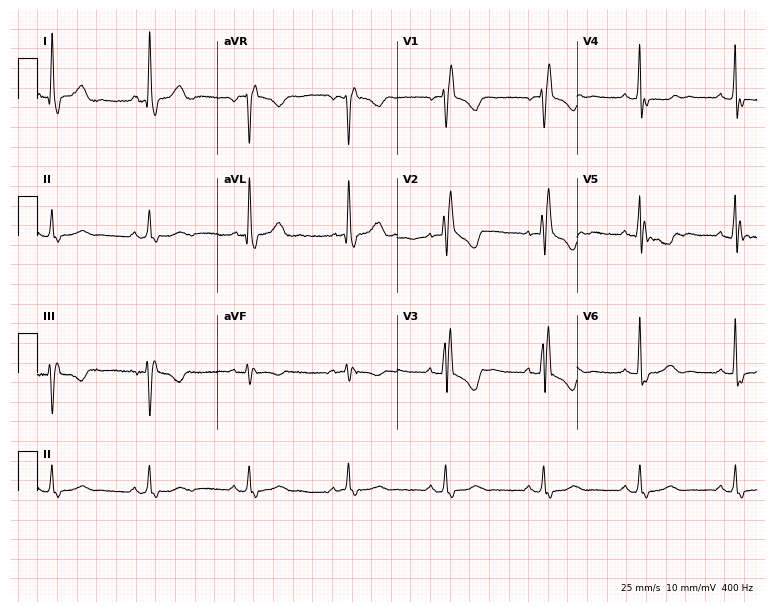
12-lead ECG (7.3-second recording at 400 Hz) from a female, 64 years old. Findings include right bundle branch block (RBBB).